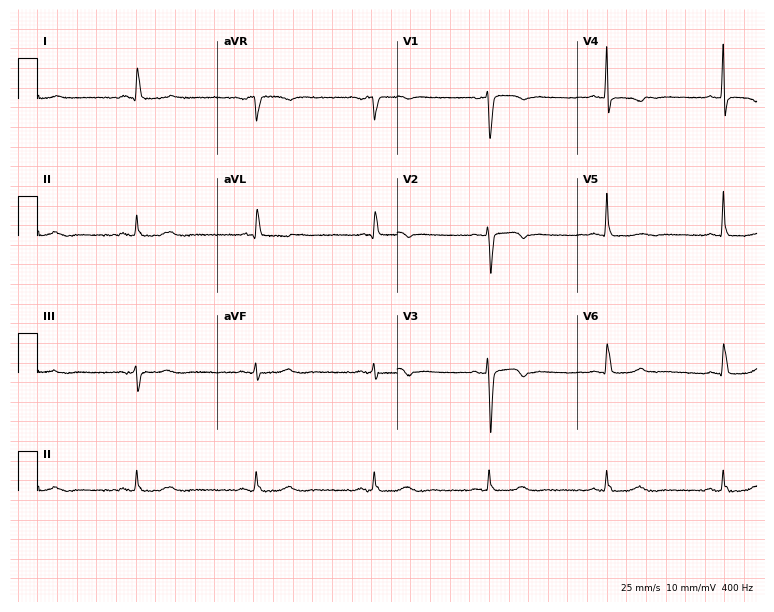
ECG — a 62-year-old woman. Findings include sinus bradycardia (a sinus rate of 50 beats per minute or less).